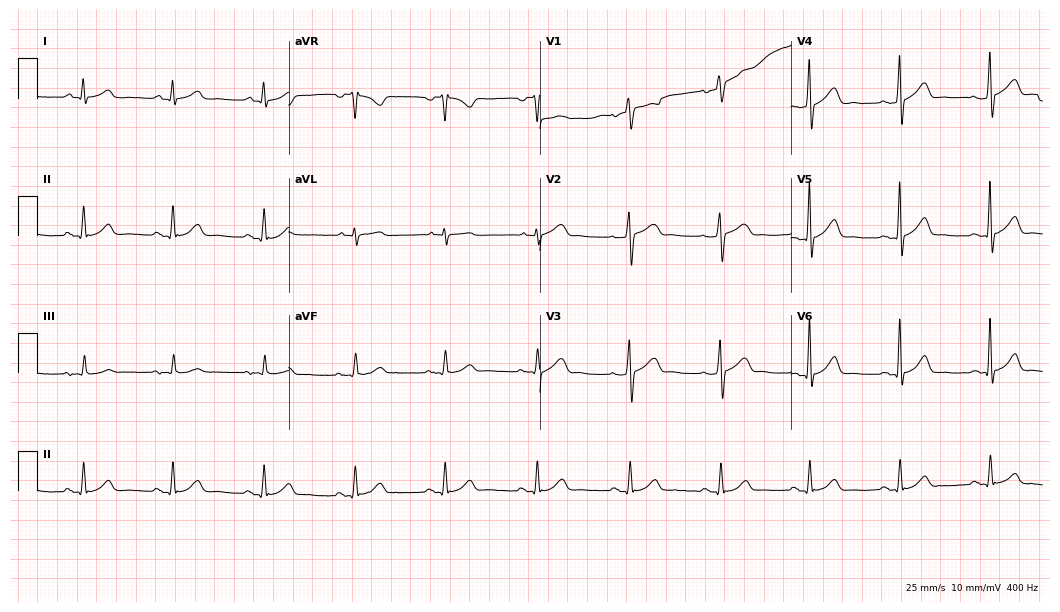
Standard 12-lead ECG recorded from a 63-year-old man (10.2-second recording at 400 Hz). None of these six findings is recorded: first-degree AV block, right bundle branch block, left bundle branch block, sinus bradycardia, atrial fibrillation, sinus tachycardia. Findings outside these six are not listed.